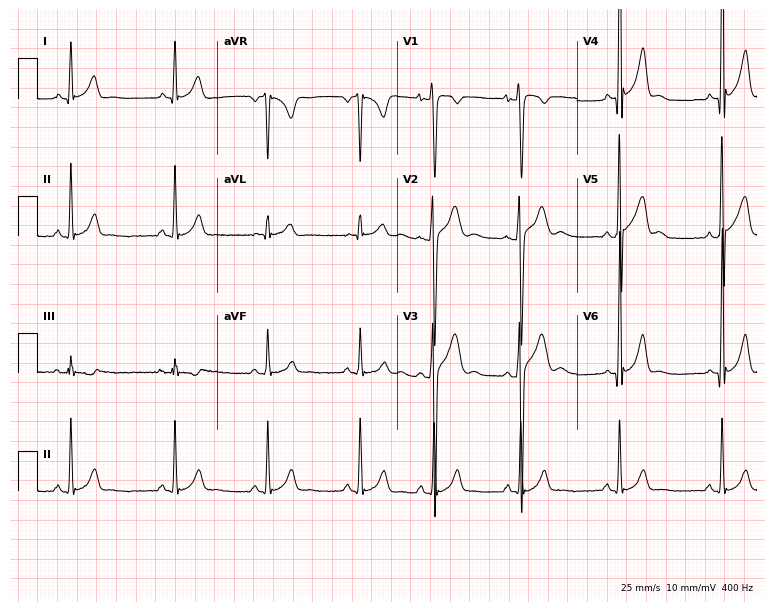
Standard 12-lead ECG recorded from a 23-year-old male. Read as a normal ECG.